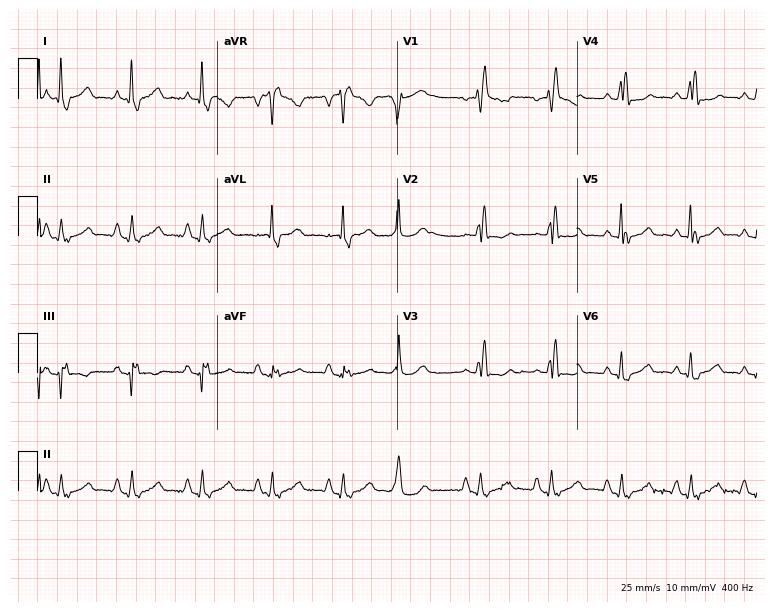
12-lead ECG from a 72-year-old woman. Shows right bundle branch block.